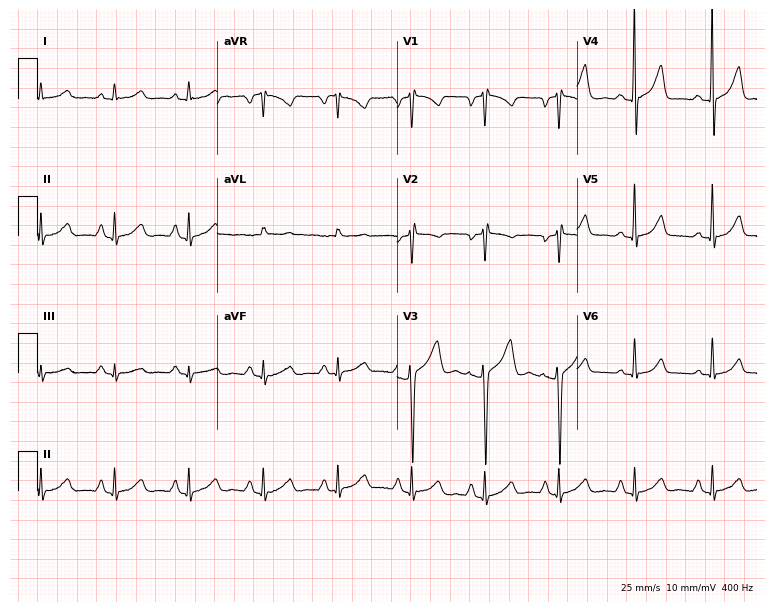
12-lead ECG from a 43-year-old female (7.3-second recording at 400 Hz). No first-degree AV block, right bundle branch block (RBBB), left bundle branch block (LBBB), sinus bradycardia, atrial fibrillation (AF) or sinus tachycardia recorded for this tracing.